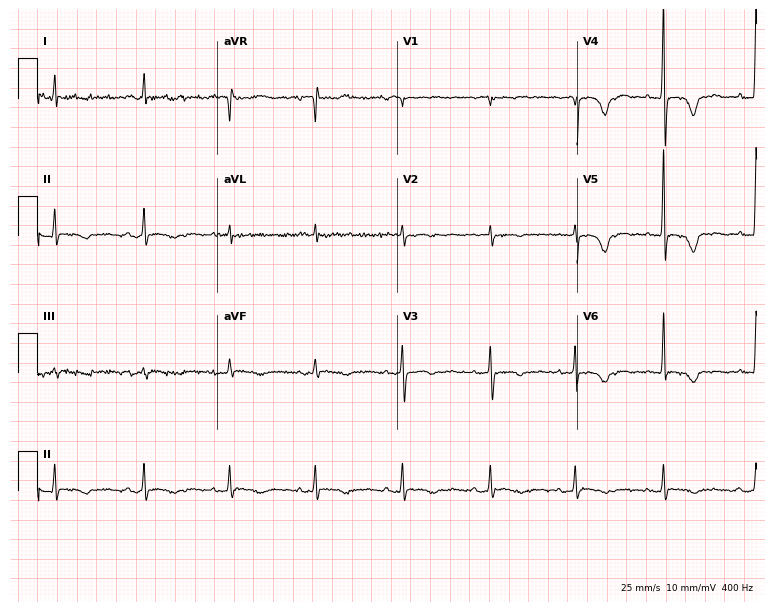
Standard 12-lead ECG recorded from a woman, 74 years old (7.3-second recording at 400 Hz). None of these six findings is recorded: first-degree AV block, right bundle branch block, left bundle branch block, sinus bradycardia, atrial fibrillation, sinus tachycardia. Other findings, if any, are not listed.